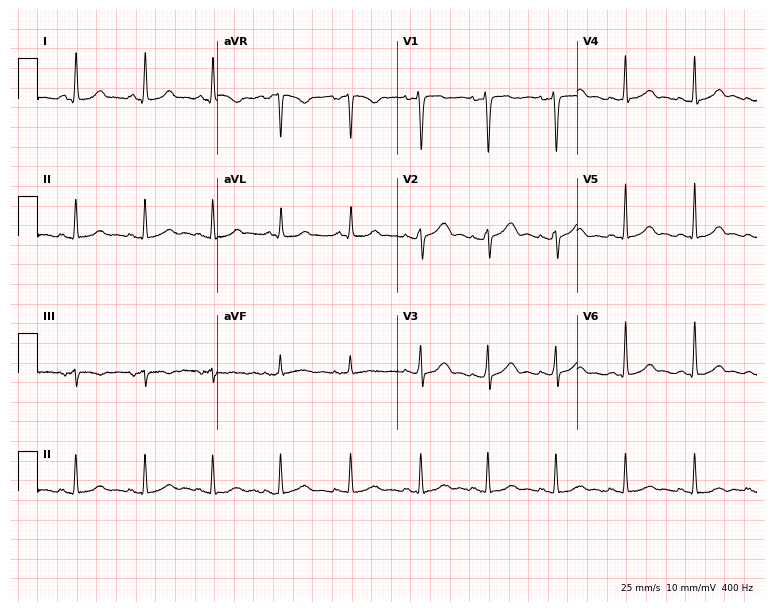
Resting 12-lead electrocardiogram. Patient: a 40-year-old female. Read as a normal ECG.